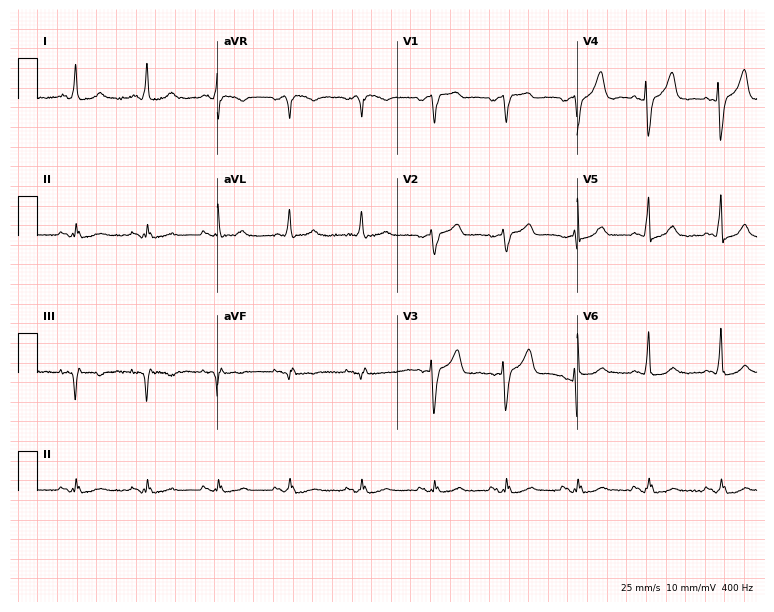
12-lead ECG from a female, 76 years old. No first-degree AV block, right bundle branch block, left bundle branch block, sinus bradycardia, atrial fibrillation or sinus tachycardia recorded for this tracing. Other findings, if any, are not listed.